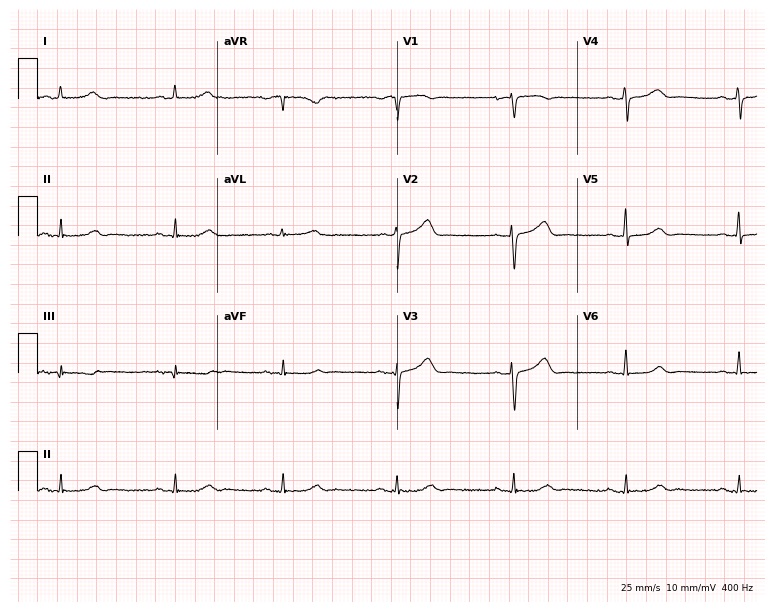
Standard 12-lead ECG recorded from a 61-year-old female. None of these six findings is recorded: first-degree AV block, right bundle branch block (RBBB), left bundle branch block (LBBB), sinus bradycardia, atrial fibrillation (AF), sinus tachycardia.